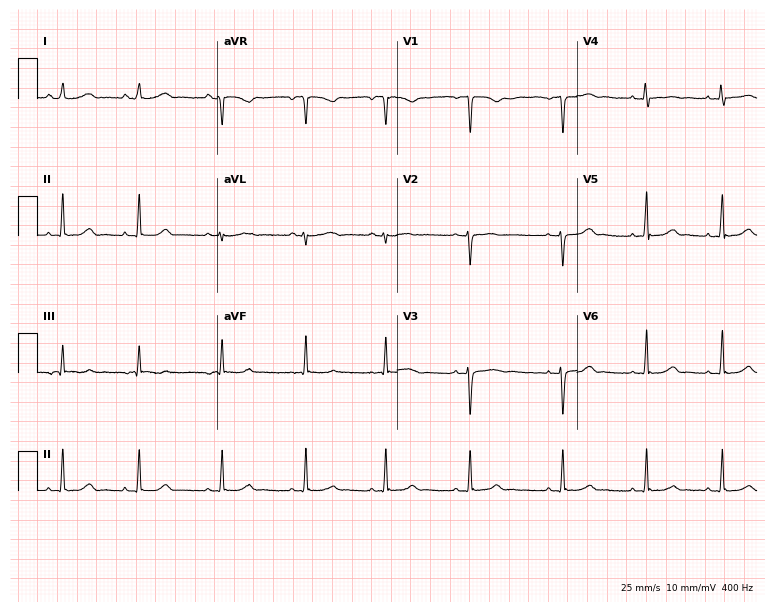
12-lead ECG from a 26-year-old female (7.3-second recording at 400 Hz). No first-degree AV block, right bundle branch block (RBBB), left bundle branch block (LBBB), sinus bradycardia, atrial fibrillation (AF) or sinus tachycardia recorded for this tracing. Findings outside these six are not listed.